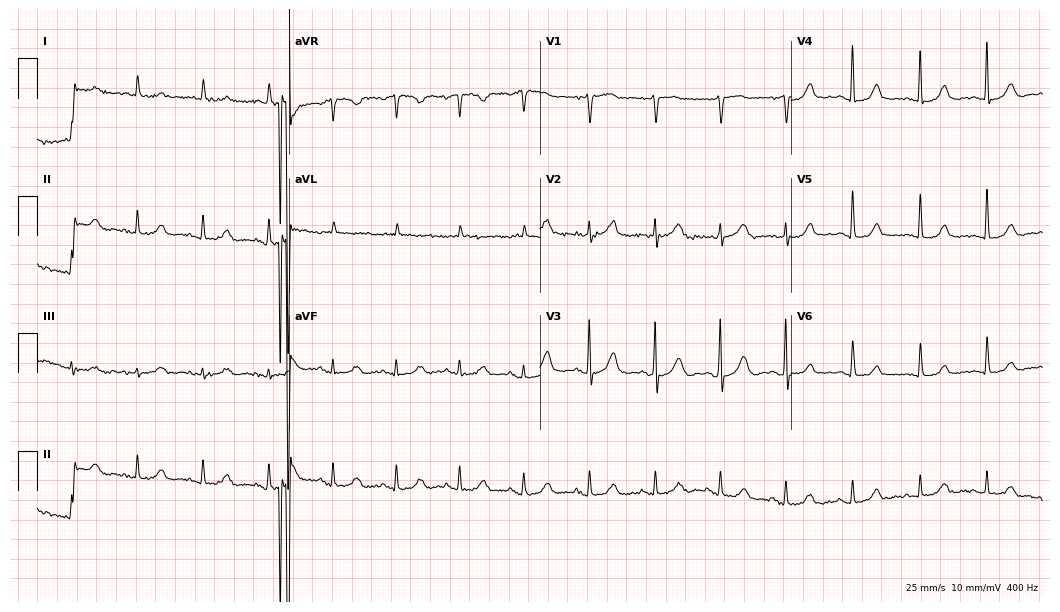
12-lead ECG from a woman, 66 years old. Recorded interpretation: within normal limits.